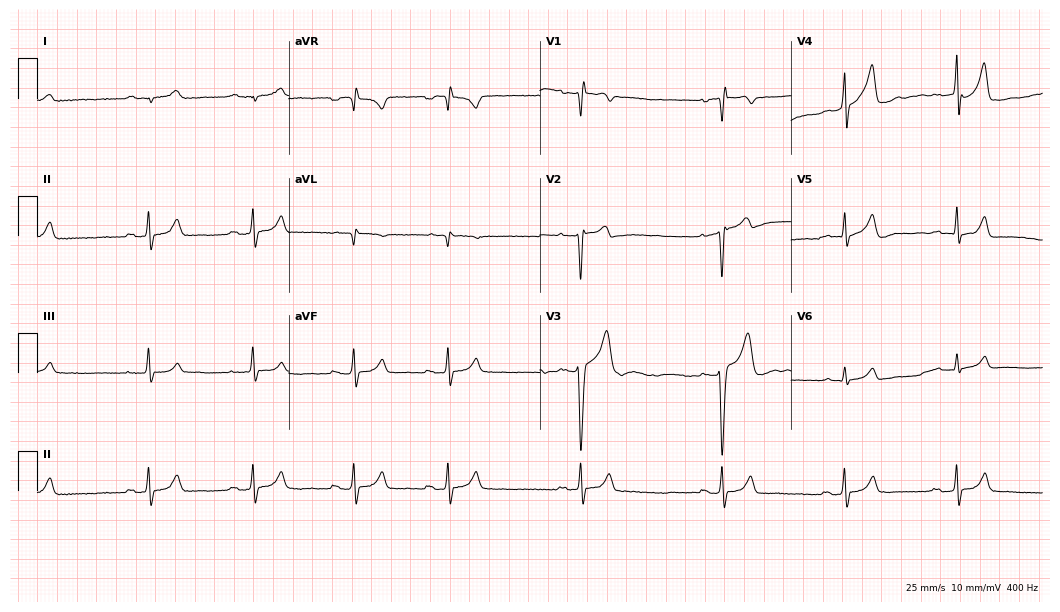
Electrocardiogram (10.2-second recording at 400 Hz), a 26-year-old male patient. Of the six screened findings (first-degree AV block, right bundle branch block, left bundle branch block, sinus bradycardia, atrial fibrillation, sinus tachycardia), none is recorded.